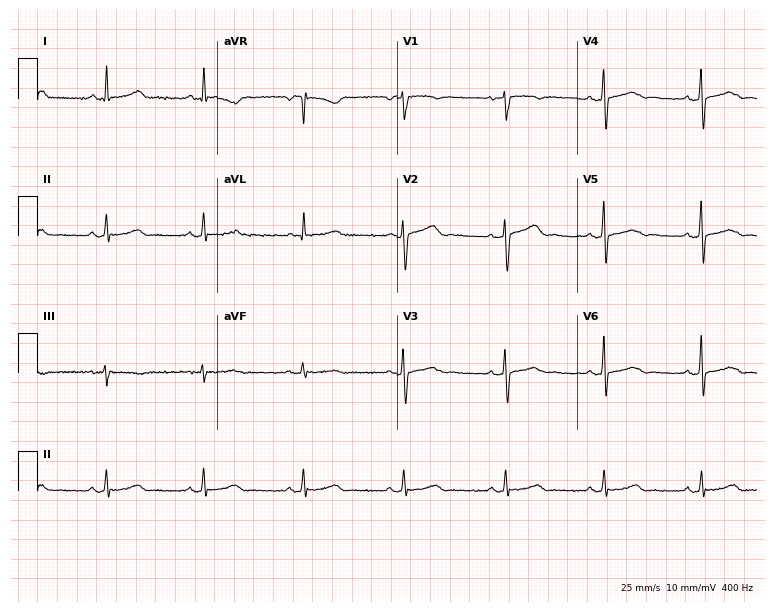
12-lead ECG (7.3-second recording at 400 Hz) from a woman, 47 years old. Labelled as a normal ECG.